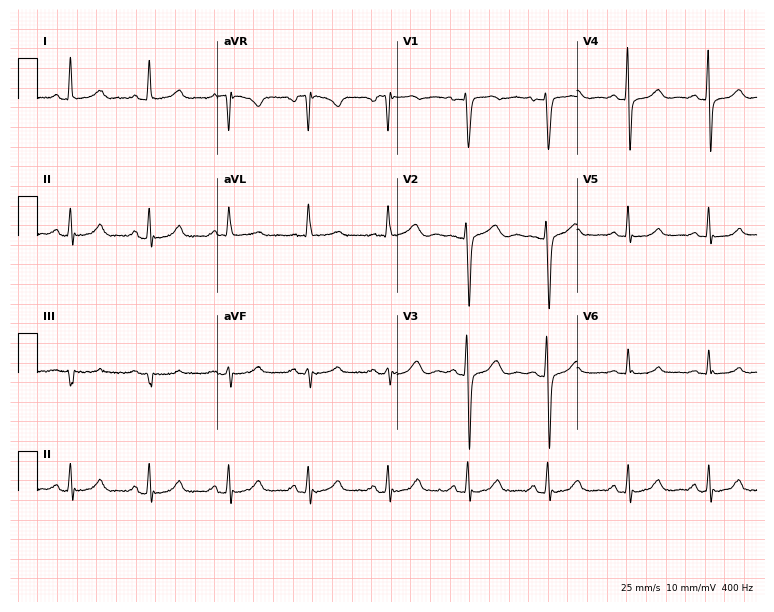
Resting 12-lead electrocardiogram. Patient: a 57-year-old female. Read as a normal ECG.